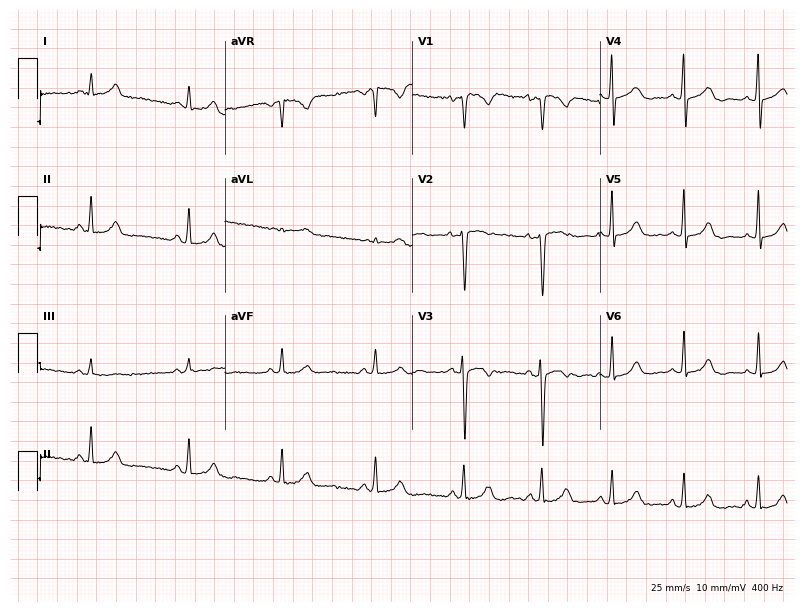
12-lead ECG from a 24-year-old woman (7.6-second recording at 400 Hz). Recorded interpretation: within normal limits.